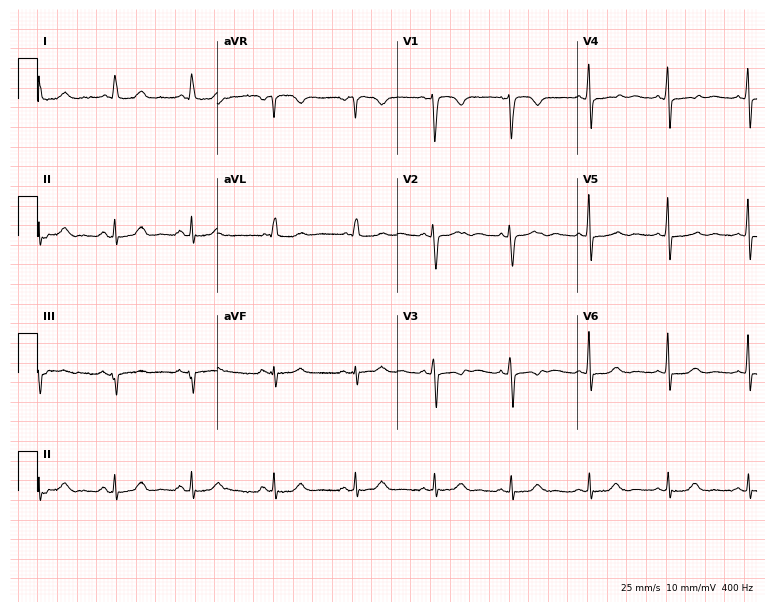
Standard 12-lead ECG recorded from a 50-year-old female patient. None of these six findings is recorded: first-degree AV block, right bundle branch block, left bundle branch block, sinus bradycardia, atrial fibrillation, sinus tachycardia.